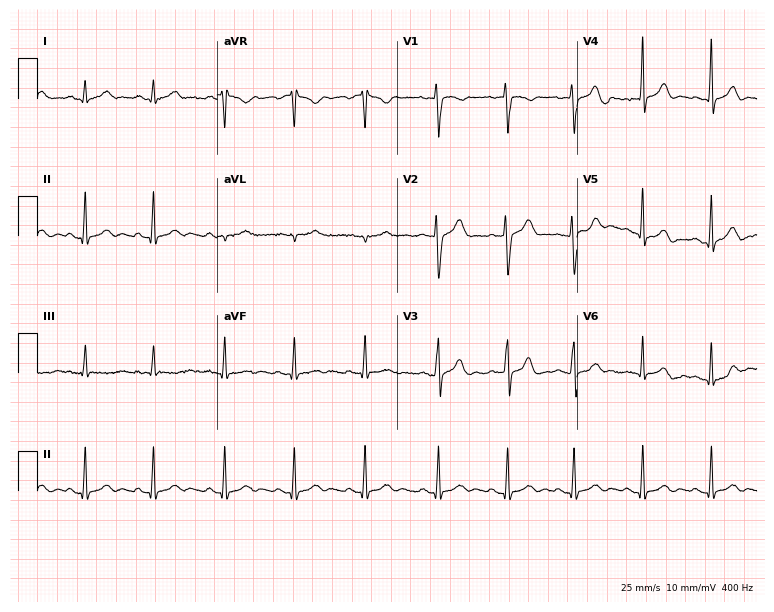
12-lead ECG from a female, 22 years old (7.3-second recording at 400 Hz). Recorded interpretation: within normal limits.